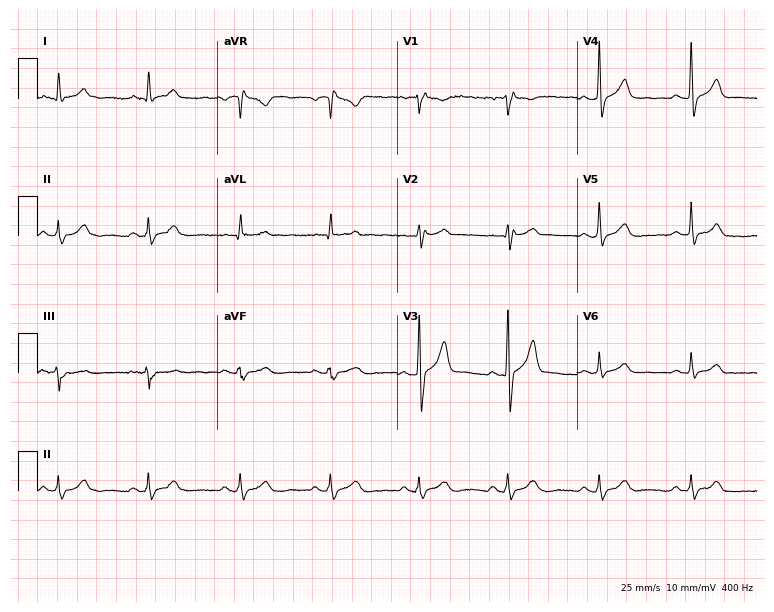
12-lead ECG from a man, 59 years old. Screened for six findings — first-degree AV block, right bundle branch block, left bundle branch block, sinus bradycardia, atrial fibrillation, sinus tachycardia — none is recorded.